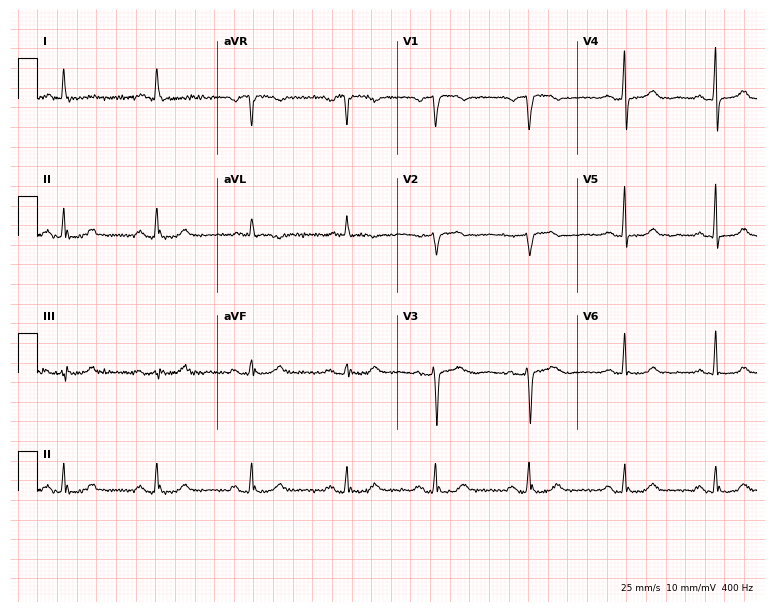
Standard 12-lead ECG recorded from a female, 54 years old. None of these six findings is recorded: first-degree AV block, right bundle branch block (RBBB), left bundle branch block (LBBB), sinus bradycardia, atrial fibrillation (AF), sinus tachycardia.